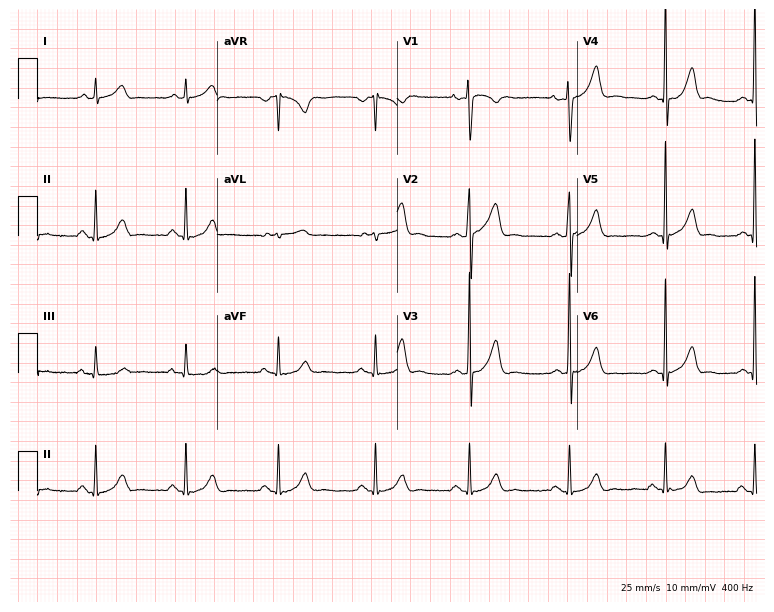
12-lead ECG (7.3-second recording at 400 Hz) from a 26-year-old male. Screened for six findings — first-degree AV block, right bundle branch block, left bundle branch block, sinus bradycardia, atrial fibrillation, sinus tachycardia — none is recorded.